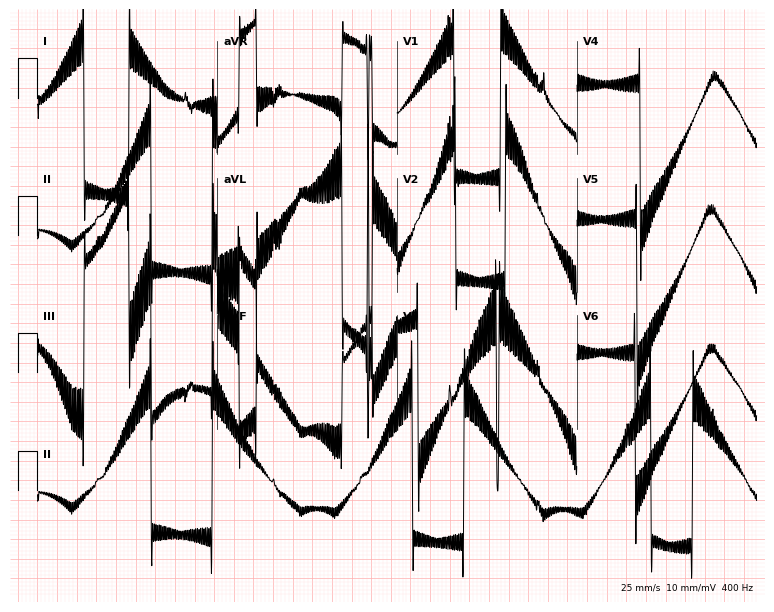
12-lead ECG (7.3-second recording at 400 Hz) from a man, 71 years old. Screened for six findings — first-degree AV block, right bundle branch block, left bundle branch block, sinus bradycardia, atrial fibrillation, sinus tachycardia — none is recorded. Only these six findings were labelled.